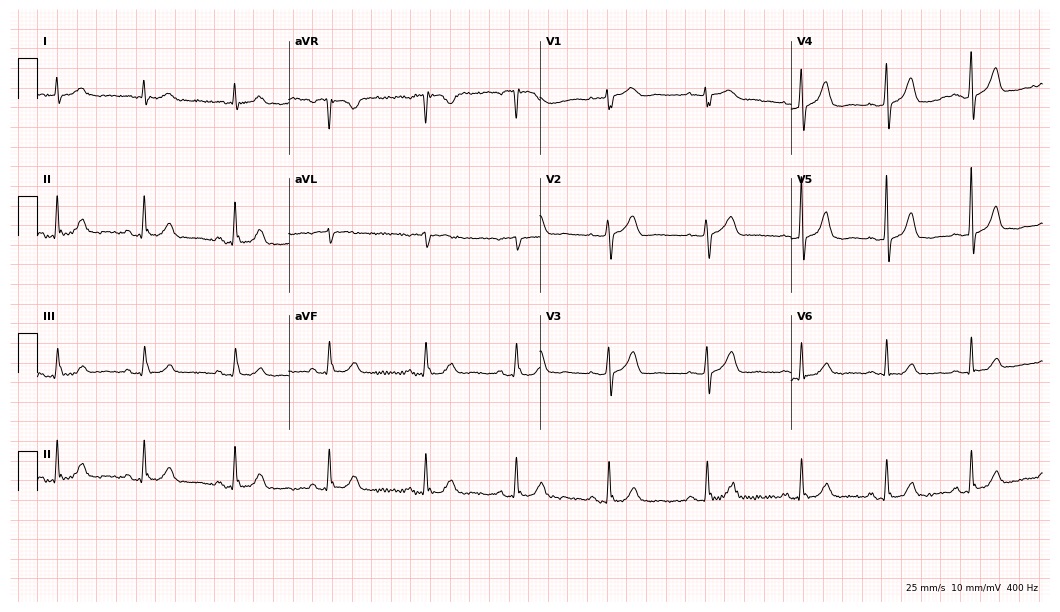
12-lead ECG from a female patient, 74 years old (10.2-second recording at 400 Hz). Recorded interpretation: within normal limits.